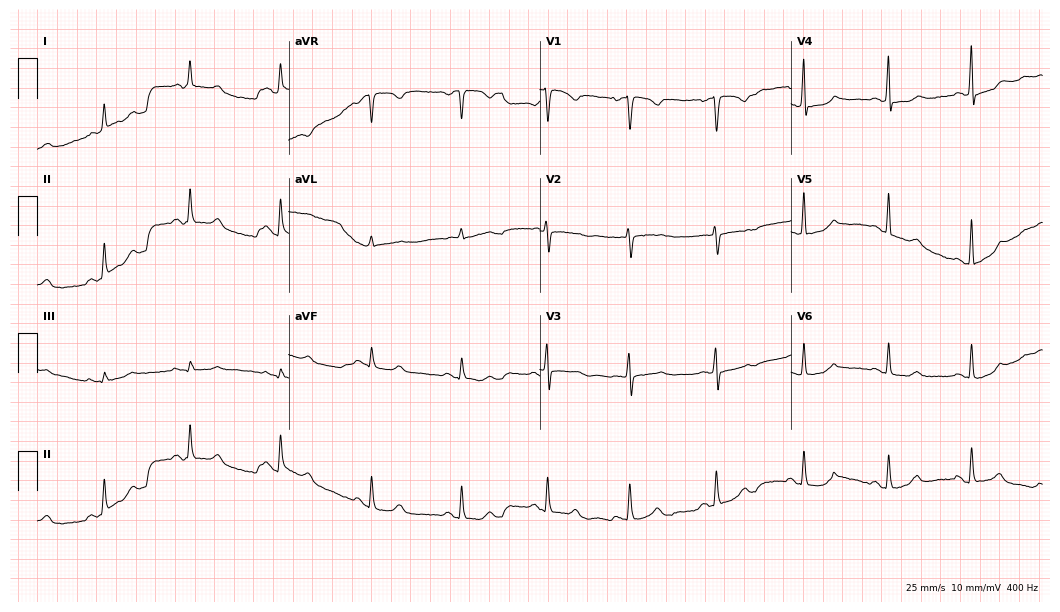
Resting 12-lead electrocardiogram. Patient: a 61-year-old man. None of these six findings is recorded: first-degree AV block, right bundle branch block, left bundle branch block, sinus bradycardia, atrial fibrillation, sinus tachycardia. Only these six findings were labelled.